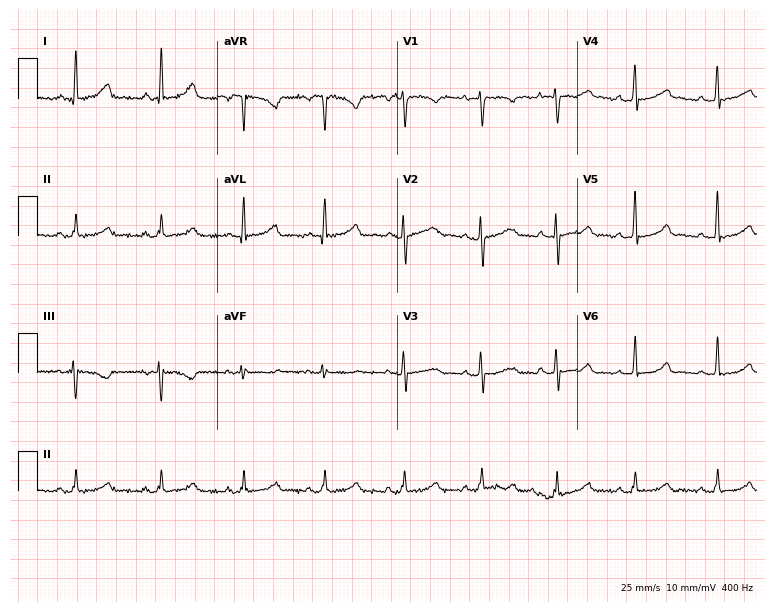
Resting 12-lead electrocardiogram (7.3-second recording at 400 Hz). Patient: a 48-year-old woman. None of these six findings is recorded: first-degree AV block, right bundle branch block (RBBB), left bundle branch block (LBBB), sinus bradycardia, atrial fibrillation (AF), sinus tachycardia.